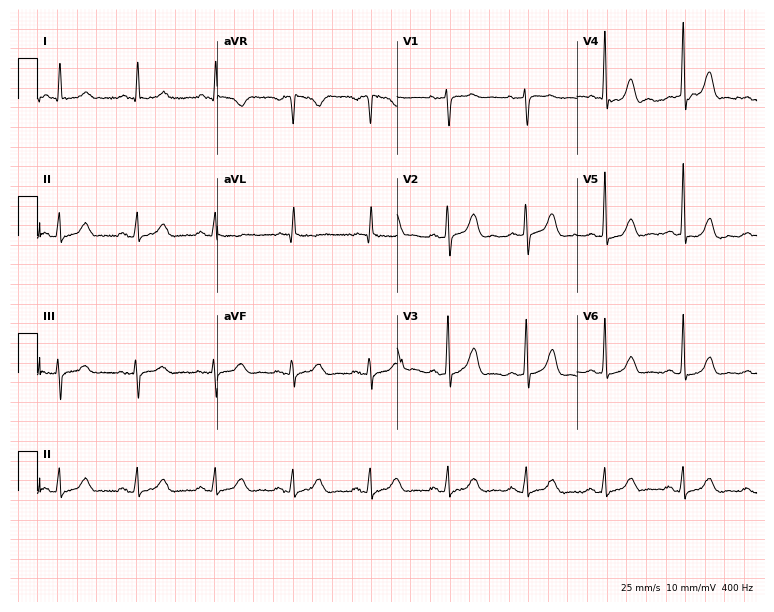
Resting 12-lead electrocardiogram. Patient: a female, 77 years old. Read as a normal ECG.